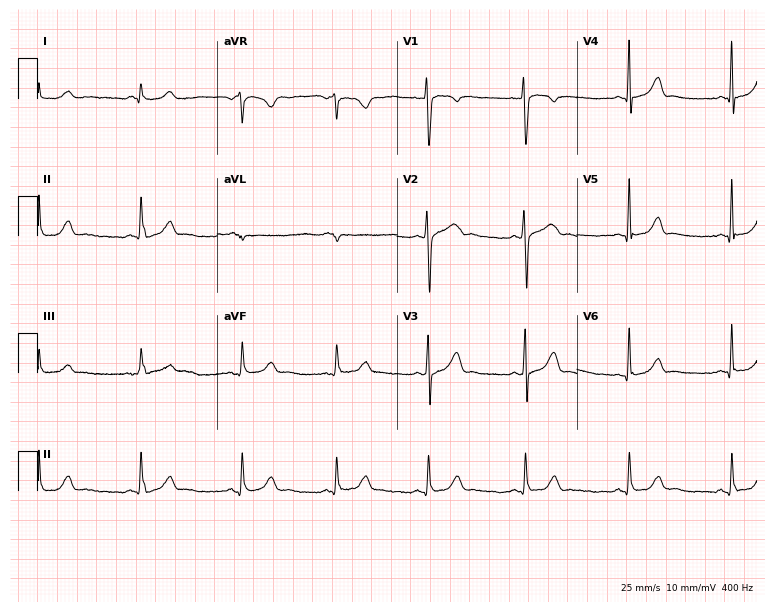
Standard 12-lead ECG recorded from a woman, 17 years old. Read as a normal ECG.